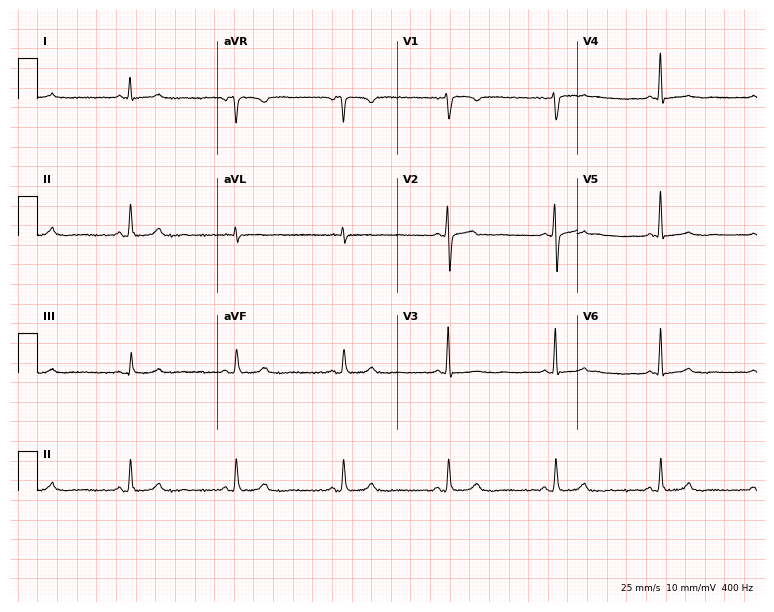
Standard 12-lead ECG recorded from a 39-year-old female (7.3-second recording at 400 Hz). Read as a normal ECG.